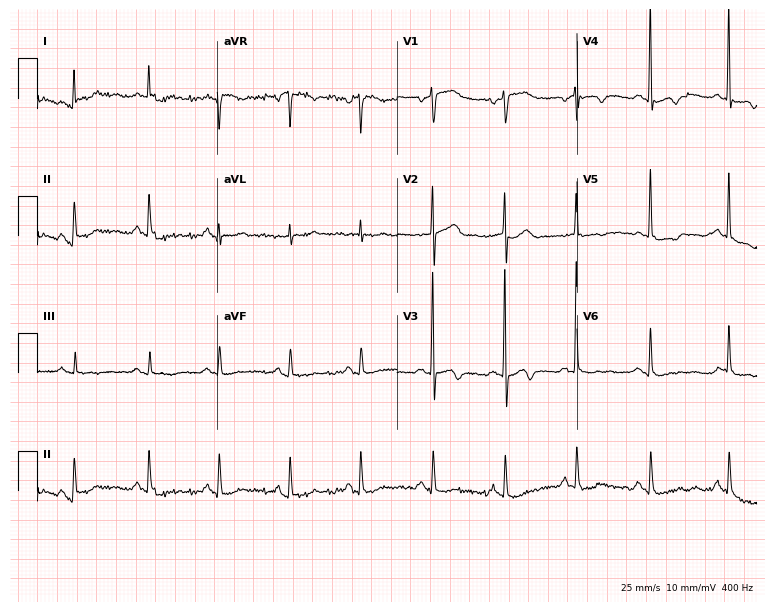
Resting 12-lead electrocardiogram. Patient: a 51-year-old man. None of these six findings is recorded: first-degree AV block, right bundle branch block (RBBB), left bundle branch block (LBBB), sinus bradycardia, atrial fibrillation (AF), sinus tachycardia.